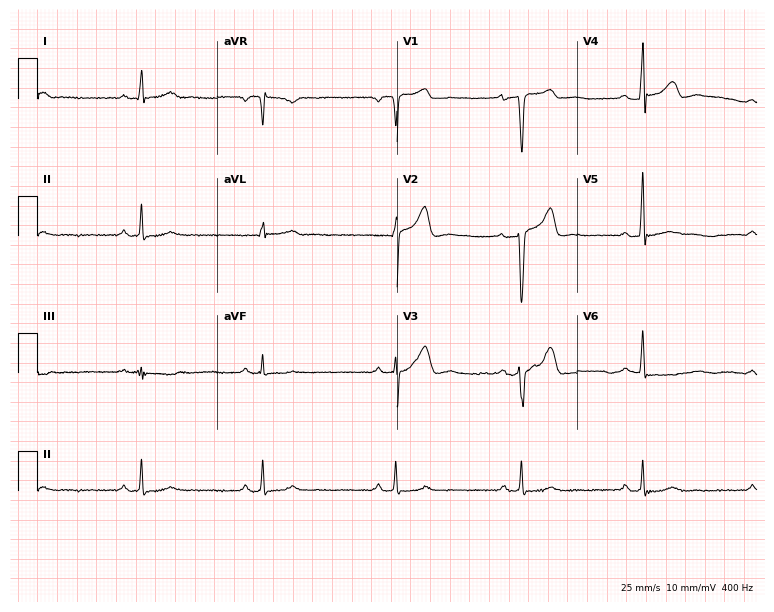
Electrocardiogram, a man, 37 years old. Interpretation includes sinus bradycardia (a sinus rate of 50 beats per minute or less).